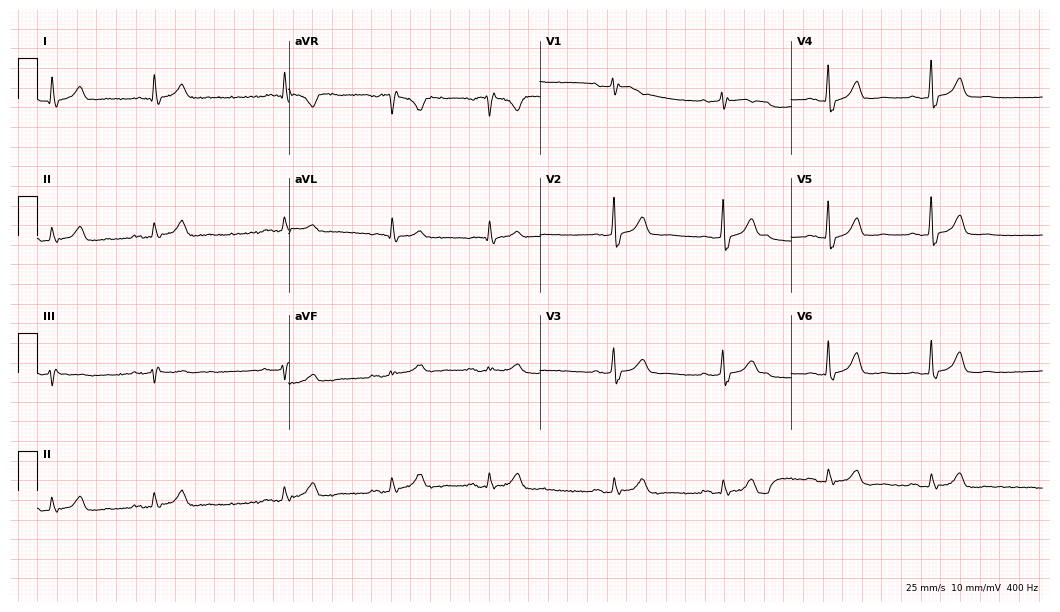
12-lead ECG from a female, 78 years old (10.2-second recording at 400 Hz). No first-degree AV block, right bundle branch block, left bundle branch block, sinus bradycardia, atrial fibrillation or sinus tachycardia recorded for this tracing. Only these six findings were labelled.